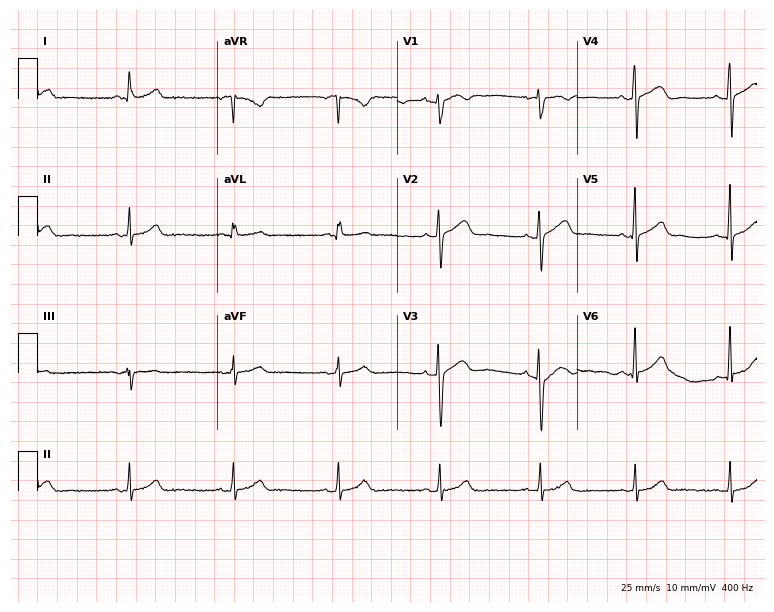
Resting 12-lead electrocardiogram (7.3-second recording at 400 Hz). Patient: a 54-year-old female. Read as a normal ECG.